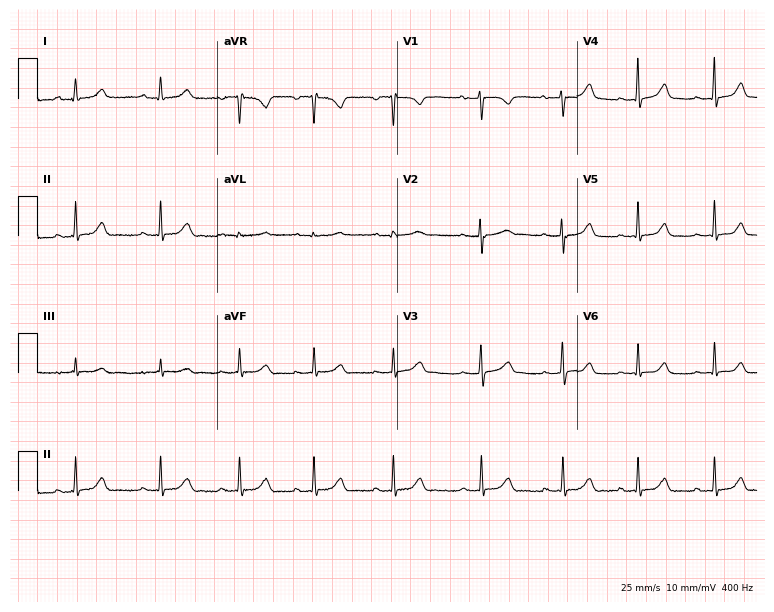
ECG (7.3-second recording at 400 Hz) — a female patient, 28 years old. Screened for six findings — first-degree AV block, right bundle branch block, left bundle branch block, sinus bradycardia, atrial fibrillation, sinus tachycardia — none is recorded. Other findings, if any, are not listed.